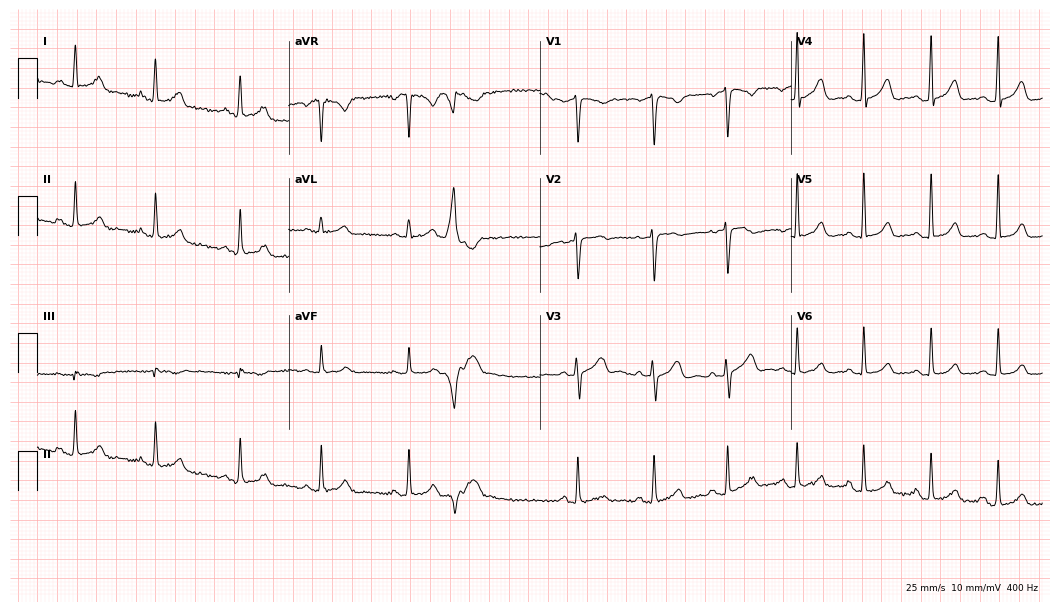
12-lead ECG from a 38-year-old female patient. Screened for six findings — first-degree AV block, right bundle branch block, left bundle branch block, sinus bradycardia, atrial fibrillation, sinus tachycardia — none is recorded. Findings outside these six are not listed.